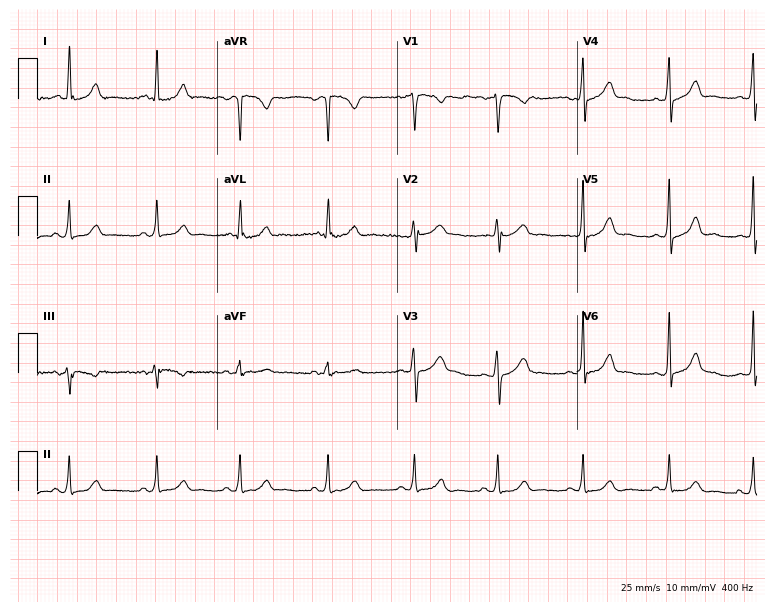
Standard 12-lead ECG recorded from a woman, 30 years old (7.3-second recording at 400 Hz). Read as a normal ECG.